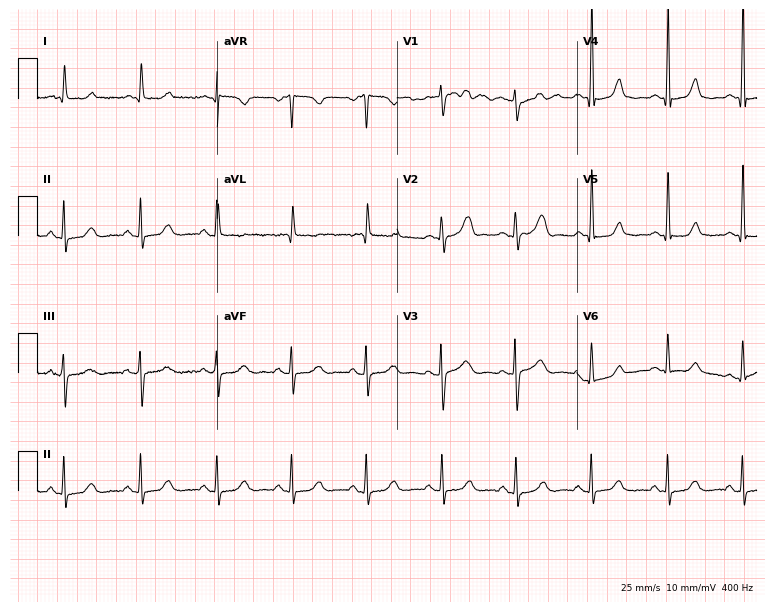
Standard 12-lead ECG recorded from a woman, 59 years old. None of these six findings is recorded: first-degree AV block, right bundle branch block, left bundle branch block, sinus bradycardia, atrial fibrillation, sinus tachycardia.